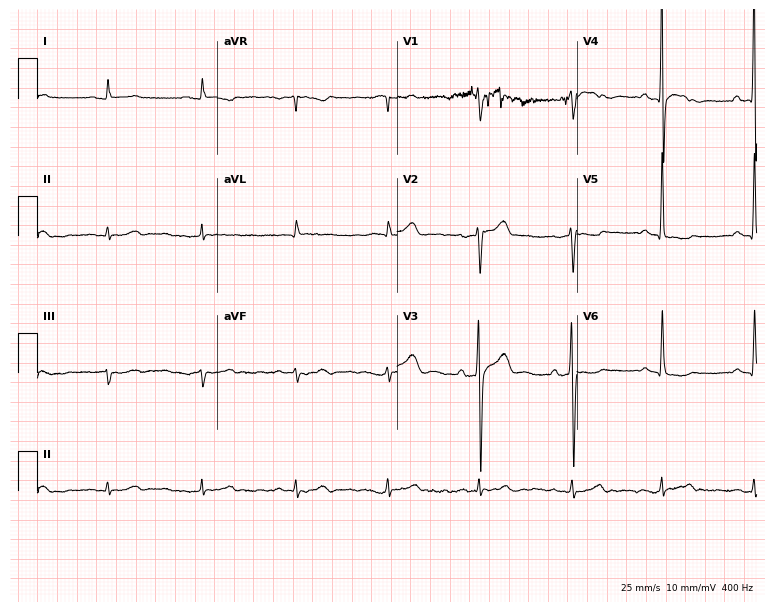
Standard 12-lead ECG recorded from a male, 52 years old. None of these six findings is recorded: first-degree AV block, right bundle branch block (RBBB), left bundle branch block (LBBB), sinus bradycardia, atrial fibrillation (AF), sinus tachycardia. Only these six findings were labelled.